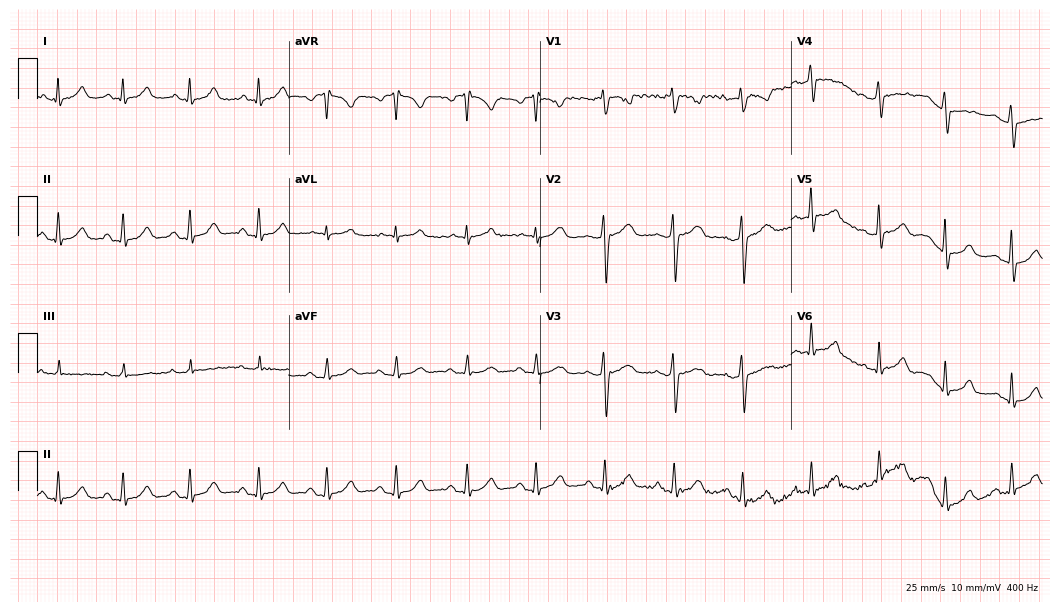
12-lead ECG from a 33-year-old female. Recorded interpretation: within normal limits.